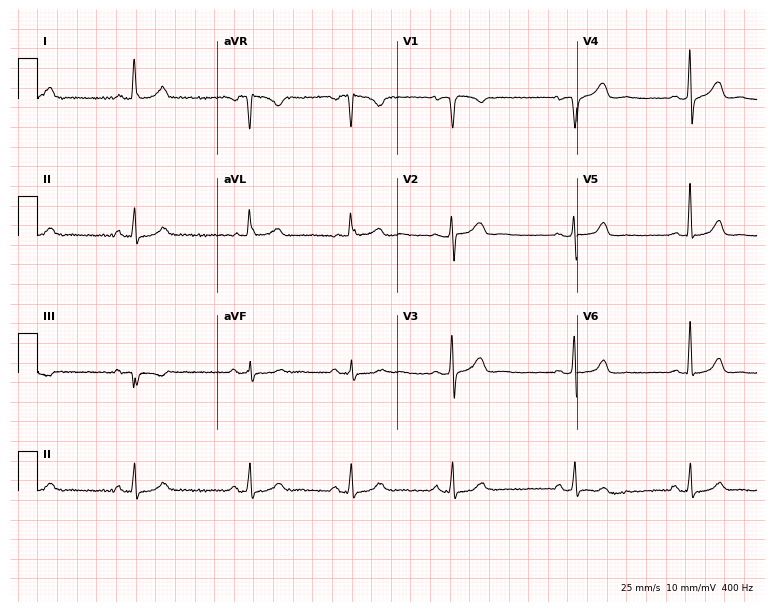
Resting 12-lead electrocardiogram (7.3-second recording at 400 Hz). Patient: a 49-year-old woman. None of these six findings is recorded: first-degree AV block, right bundle branch block (RBBB), left bundle branch block (LBBB), sinus bradycardia, atrial fibrillation (AF), sinus tachycardia. Only these six findings were labelled.